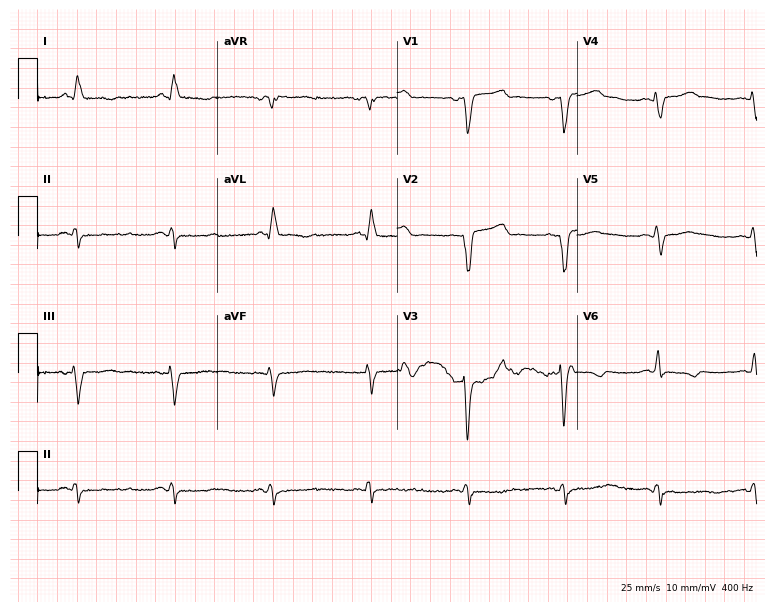
Resting 12-lead electrocardiogram. Patient: a 47-year-old male. None of these six findings is recorded: first-degree AV block, right bundle branch block, left bundle branch block, sinus bradycardia, atrial fibrillation, sinus tachycardia.